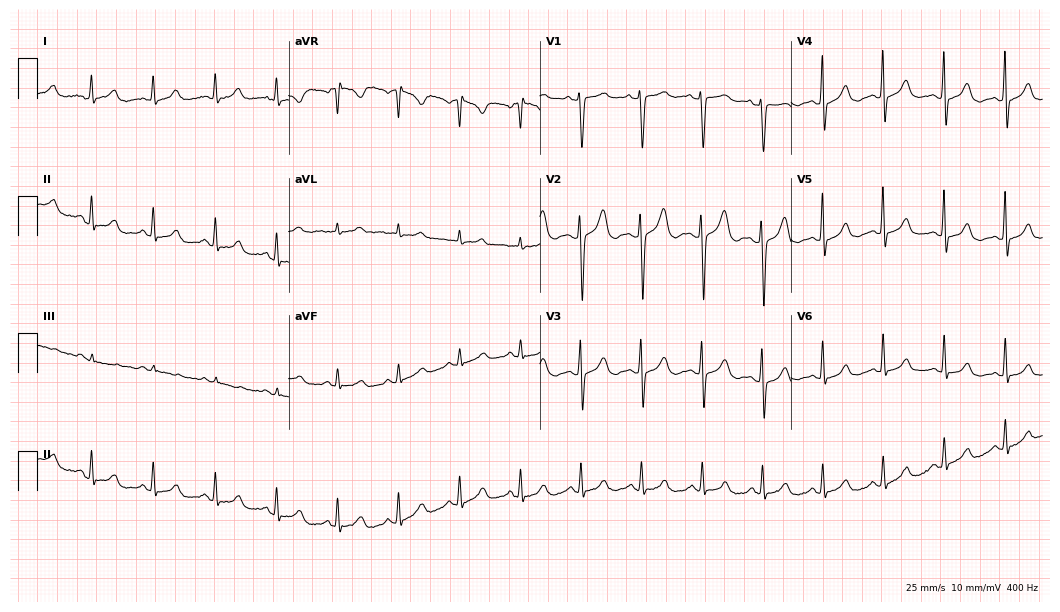
12-lead ECG from a female, 46 years old. No first-degree AV block, right bundle branch block (RBBB), left bundle branch block (LBBB), sinus bradycardia, atrial fibrillation (AF) or sinus tachycardia recorded for this tracing.